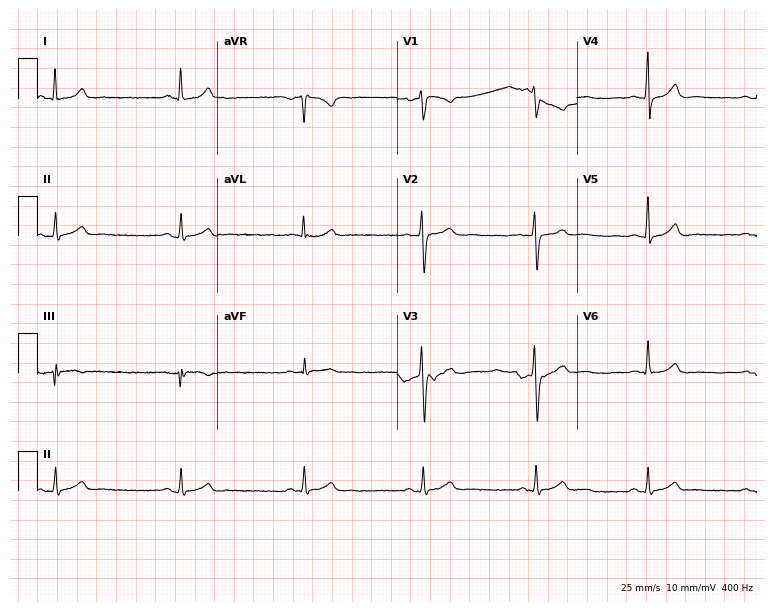
Resting 12-lead electrocardiogram. Patient: a 26-year-old woman. Read as a normal ECG.